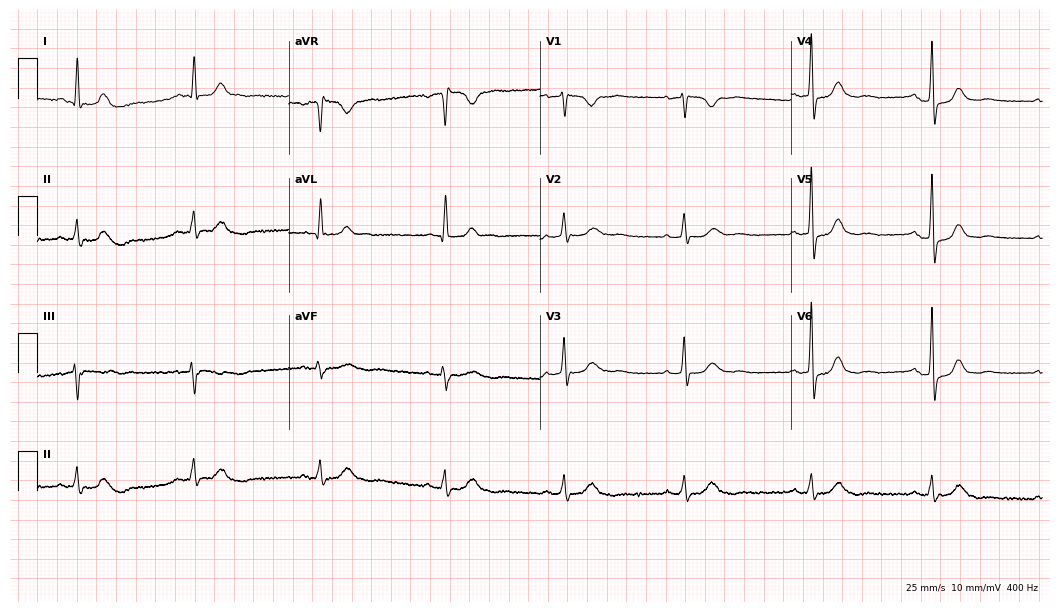
ECG (10.2-second recording at 400 Hz) — a 64-year-old female. Findings include sinus bradycardia (a sinus rate of 50 beats per minute or less).